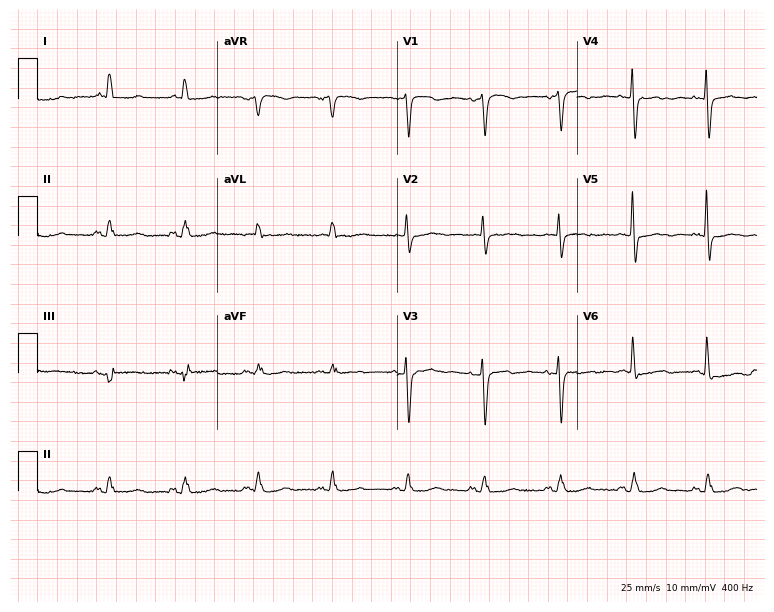
ECG — an 81-year-old woman. Screened for six findings — first-degree AV block, right bundle branch block, left bundle branch block, sinus bradycardia, atrial fibrillation, sinus tachycardia — none is recorded. Other findings, if any, are not listed.